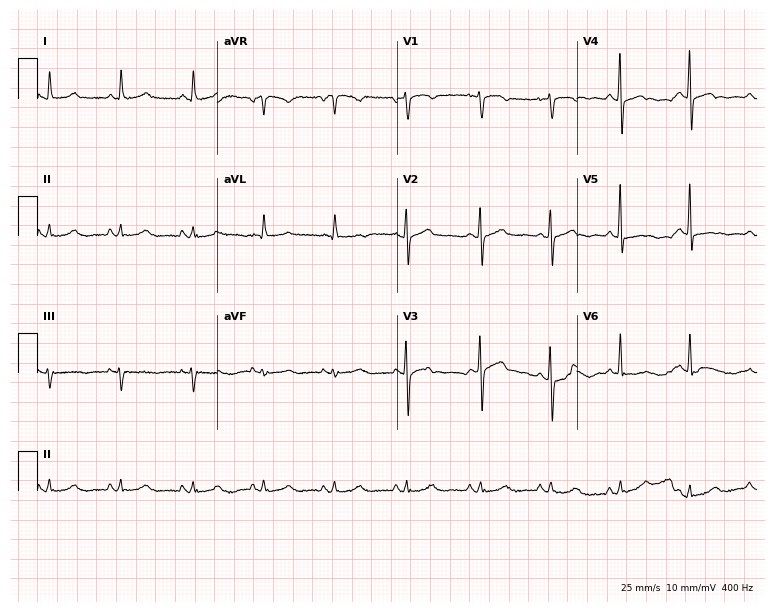
12-lead ECG from a 44-year-old female. Screened for six findings — first-degree AV block, right bundle branch block, left bundle branch block, sinus bradycardia, atrial fibrillation, sinus tachycardia — none is recorded. Only these six findings were labelled.